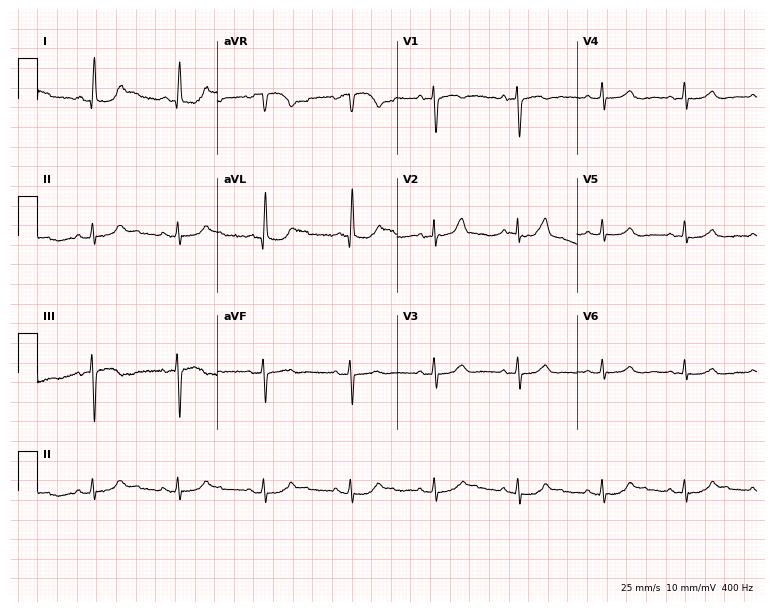
ECG (7.3-second recording at 400 Hz) — a 74-year-old woman. Labelled as a normal ECG.